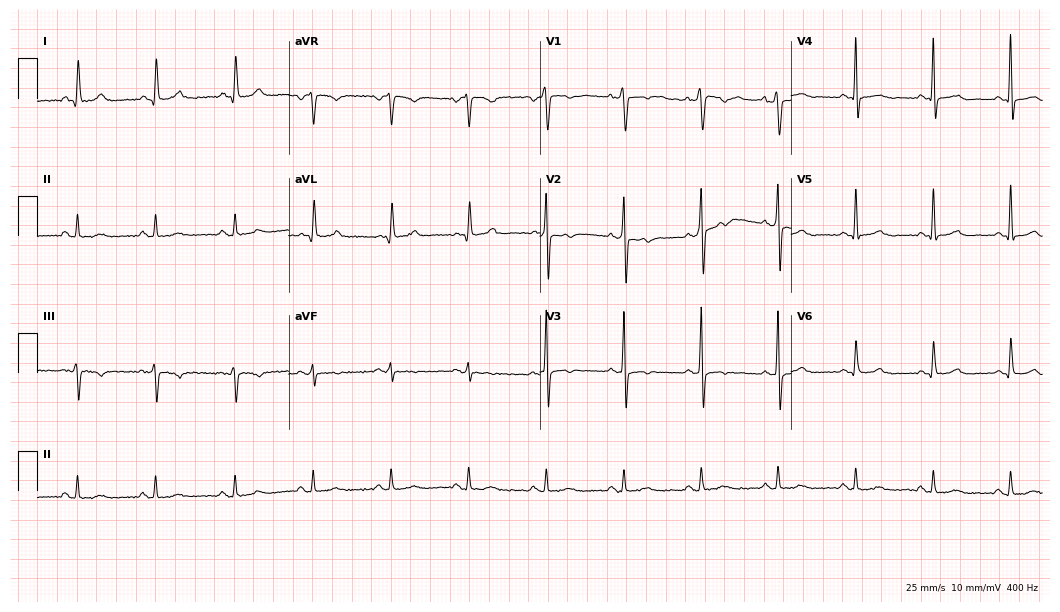
ECG — a 65-year-old male patient. Screened for six findings — first-degree AV block, right bundle branch block (RBBB), left bundle branch block (LBBB), sinus bradycardia, atrial fibrillation (AF), sinus tachycardia — none is recorded.